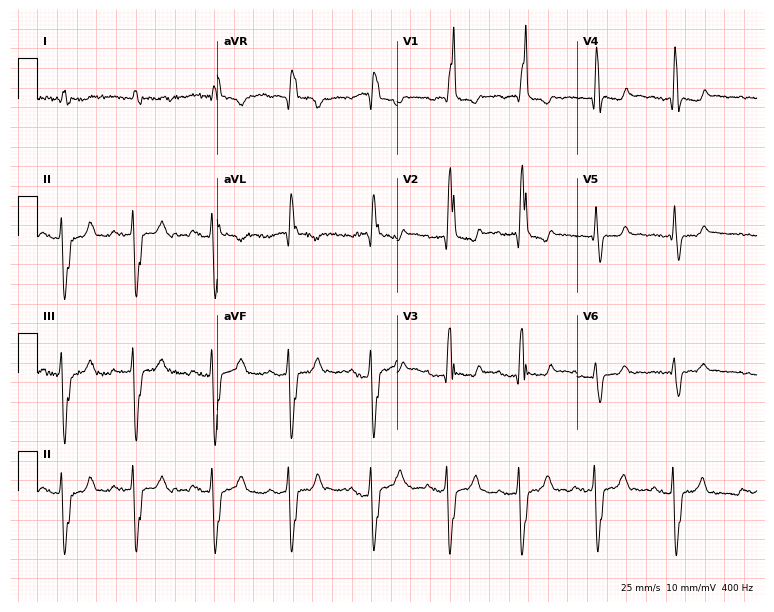
Resting 12-lead electrocardiogram. Patient: an 80-year-old female. The tracing shows right bundle branch block.